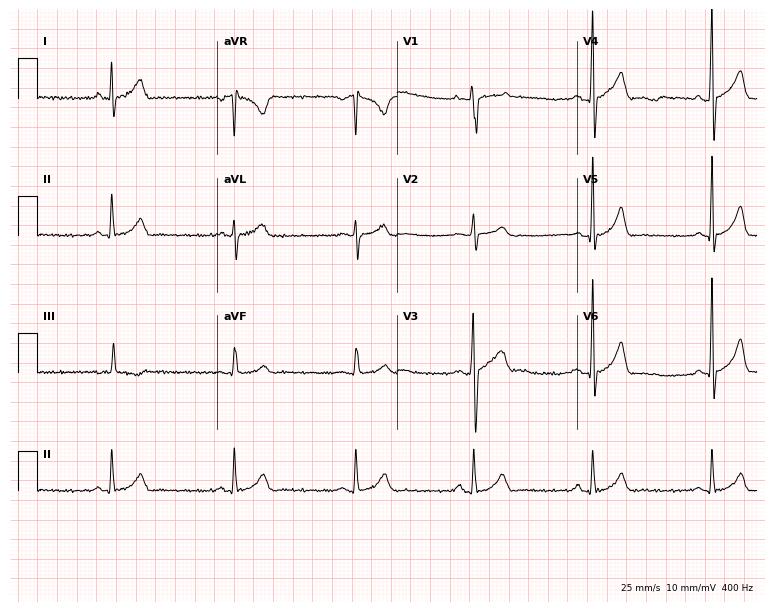
12-lead ECG from a 26-year-old male. No first-degree AV block, right bundle branch block, left bundle branch block, sinus bradycardia, atrial fibrillation or sinus tachycardia recorded for this tracing. Only these six findings were labelled.